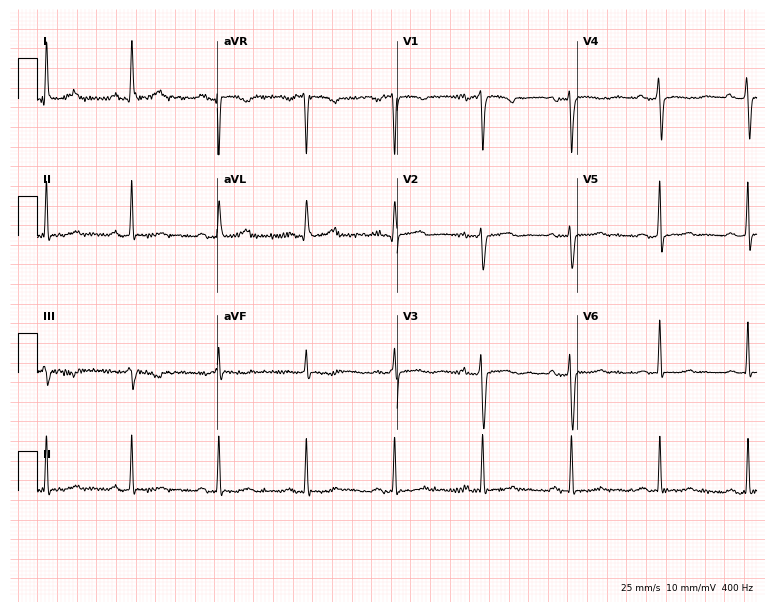
ECG (7.3-second recording at 400 Hz) — a female patient, 62 years old. Labelled as a normal ECG.